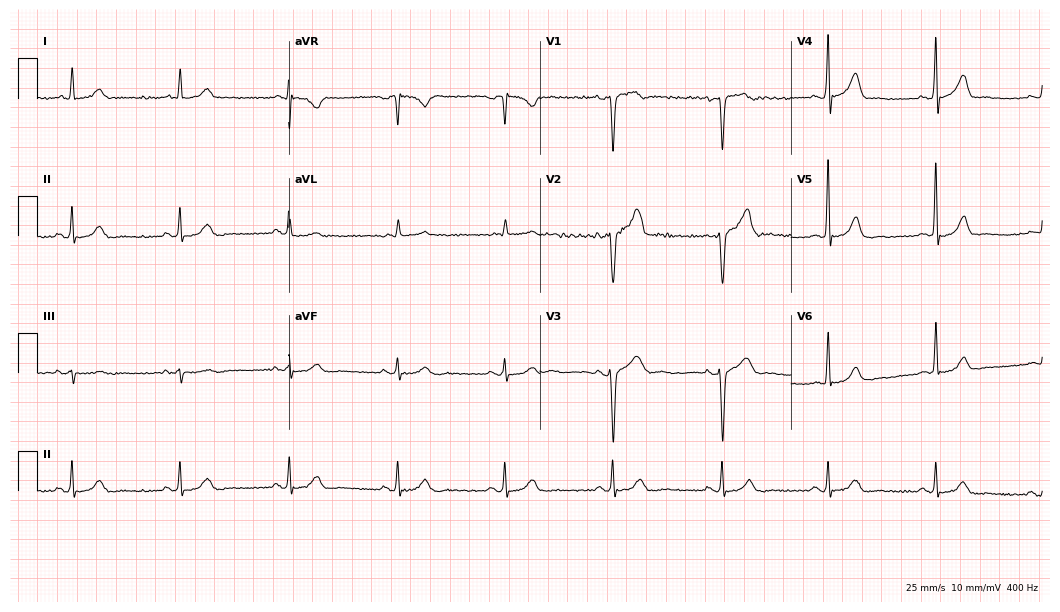
12-lead ECG from a male patient, 53 years old (10.2-second recording at 400 Hz). Recorded interpretation: within normal limits.